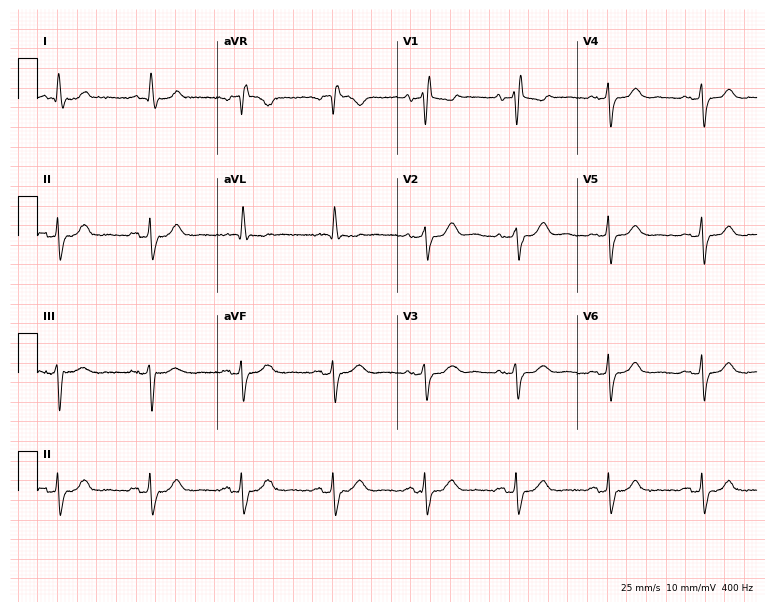
12-lead ECG (7.3-second recording at 400 Hz) from a 79-year-old woman. Screened for six findings — first-degree AV block, right bundle branch block, left bundle branch block, sinus bradycardia, atrial fibrillation, sinus tachycardia — none is recorded. Findings outside these six are not listed.